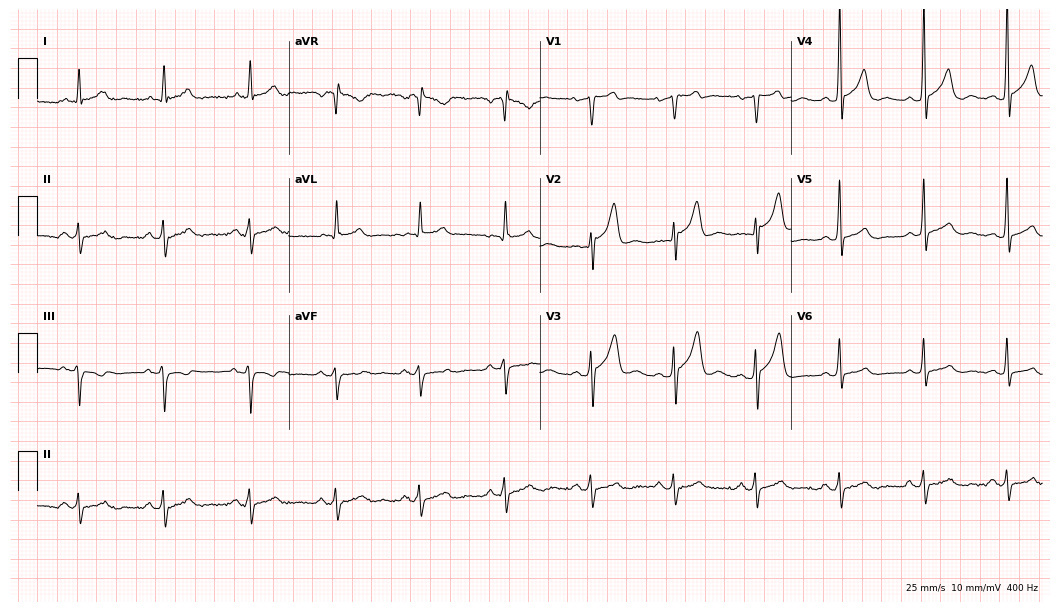
Standard 12-lead ECG recorded from a 54-year-old male patient (10.2-second recording at 400 Hz). None of these six findings is recorded: first-degree AV block, right bundle branch block (RBBB), left bundle branch block (LBBB), sinus bradycardia, atrial fibrillation (AF), sinus tachycardia.